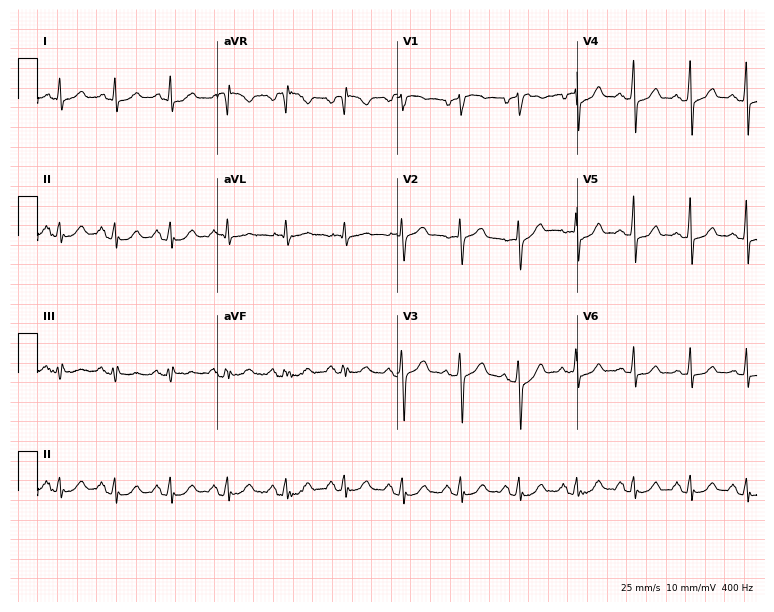
12-lead ECG from a 54-year-old male (7.3-second recording at 400 Hz). Recorded interpretation: within normal limits.